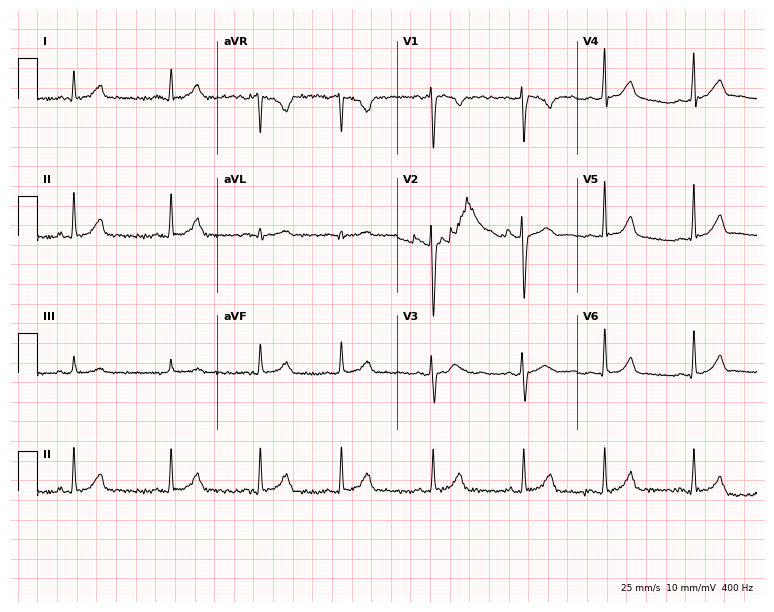
ECG (7.3-second recording at 400 Hz) — a 23-year-old female. Screened for six findings — first-degree AV block, right bundle branch block, left bundle branch block, sinus bradycardia, atrial fibrillation, sinus tachycardia — none is recorded.